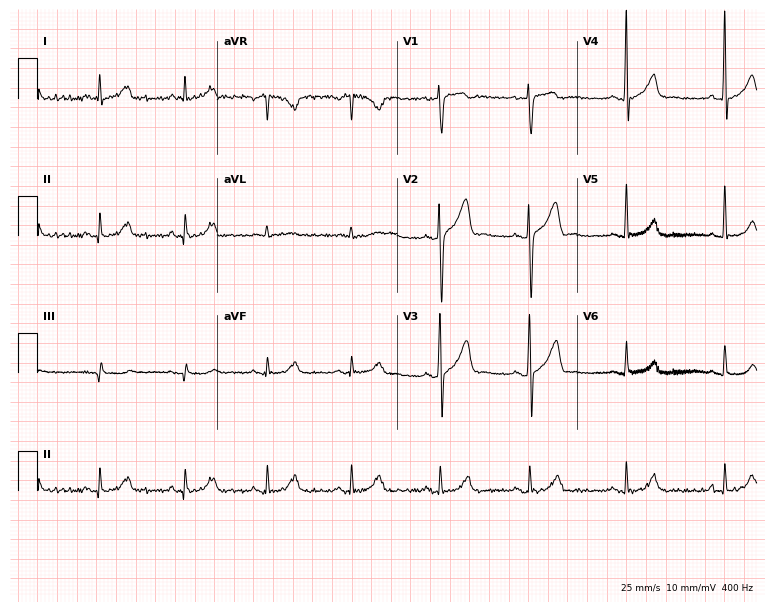
12-lead ECG from a male, 27 years old. Recorded interpretation: within normal limits.